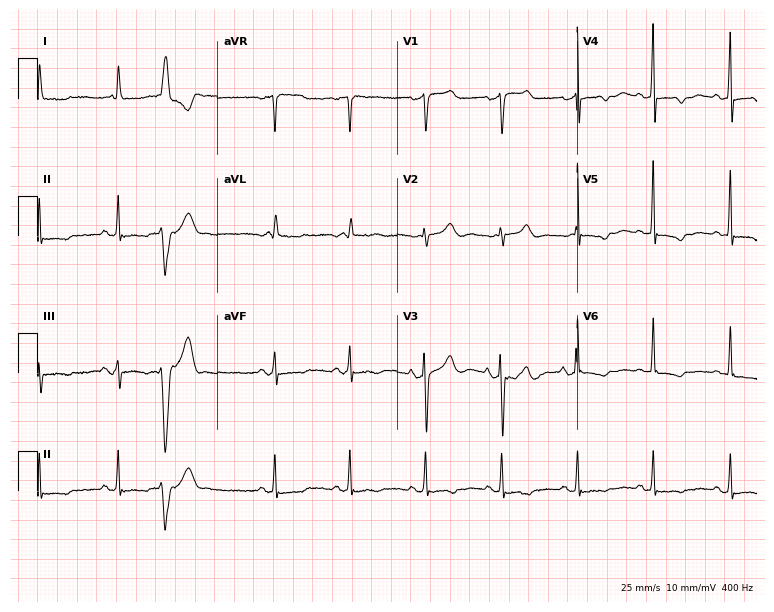
Electrocardiogram, a woman, 81 years old. Of the six screened findings (first-degree AV block, right bundle branch block (RBBB), left bundle branch block (LBBB), sinus bradycardia, atrial fibrillation (AF), sinus tachycardia), none is recorded. Findings outside these six are not listed.